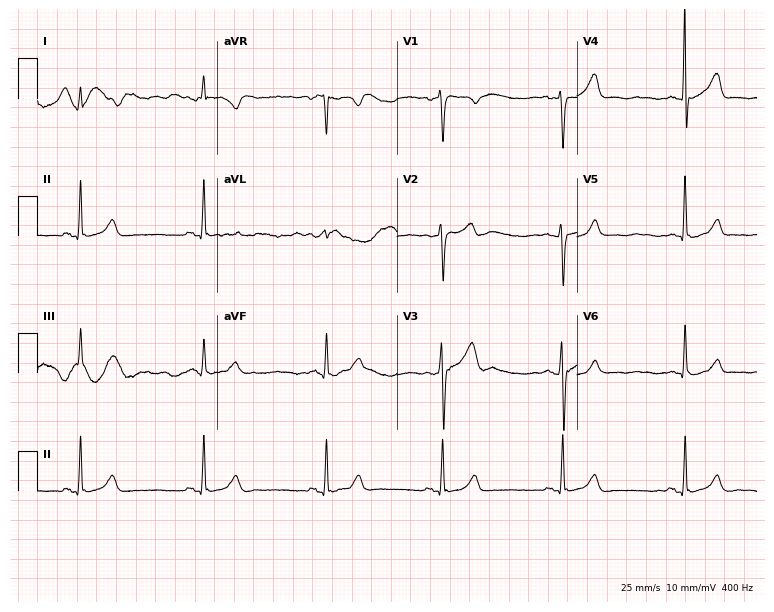
12-lead ECG from a man, 40 years old. No first-degree AV block, right bundle branch block, left bundle branch block, sinus bradycardia, atrial fibrillation or sinus tachycardia recorded for this tracing.